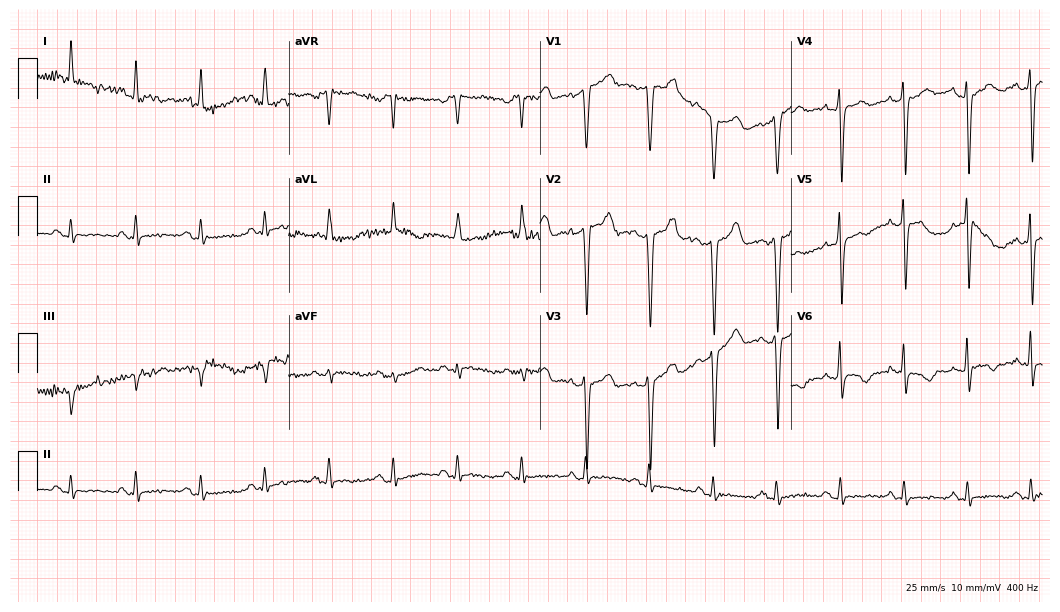
Resting 12-lead electrocardiogram (10.2-second recording at 400 Hz). Patient: a female, 73 years old. None of these six findings is recorded: first-degree AV block, right bundle branch block, left bundle branch block, sinus bradycardia, atrial fibrillation, sinus tachycardia. Only these six findings were labelled.